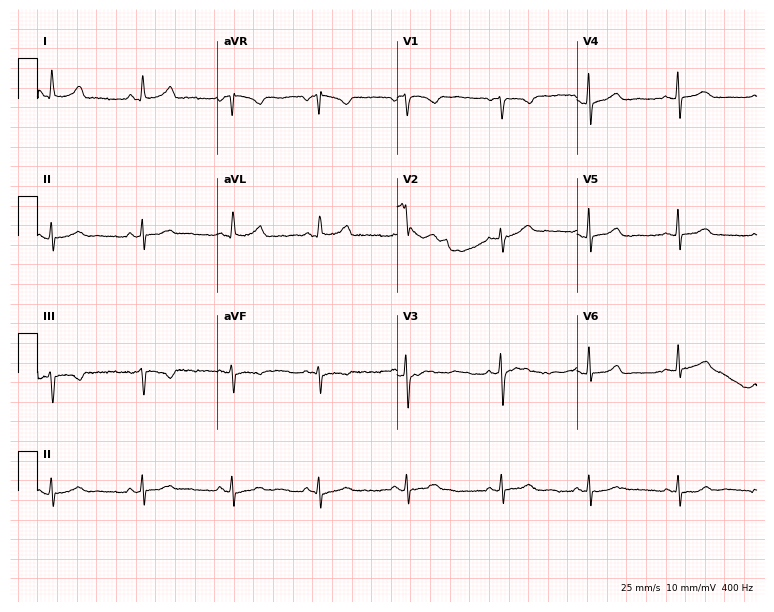
12-lead ECG from a female, 30 years old. Screened for six findings — first-degree AV block, right bundle branch block, left bundle branch block, sinus bradycardia, atrial fibrillation, sinus tachycardia — none is recorded. Other findings, if any, are not listed.